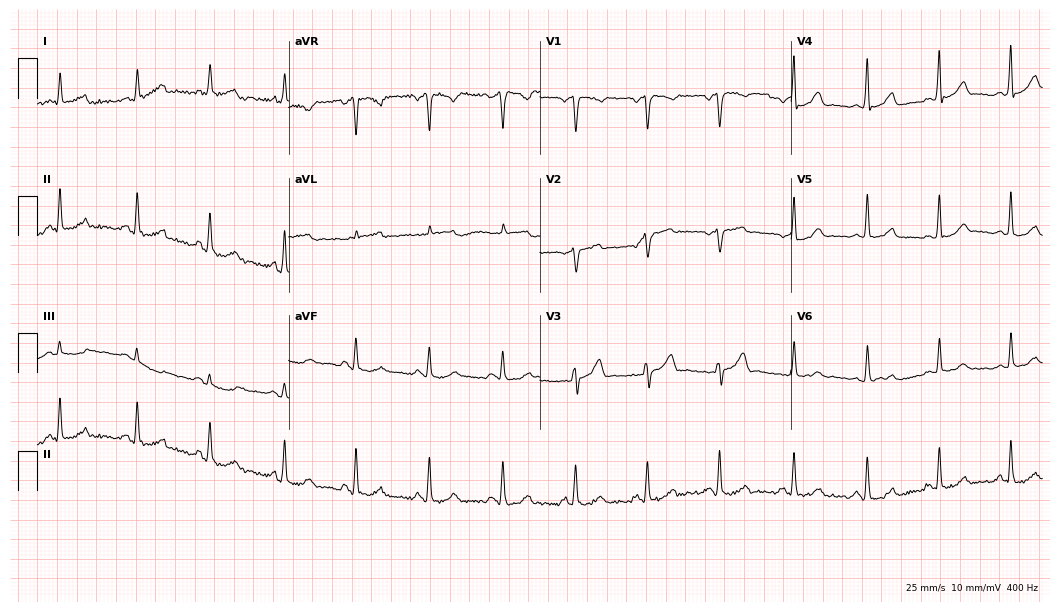
Electrocardiogram (10.2-second recording at 400 Hz), a 60-year-old male. Of the six screened findings (first-degree AV block, right bundle branch block, left bundle branch block, sinus bradycardia, atrial fibrillation, sinus tachycardia), none is recorded. Only these six findings were labelled.